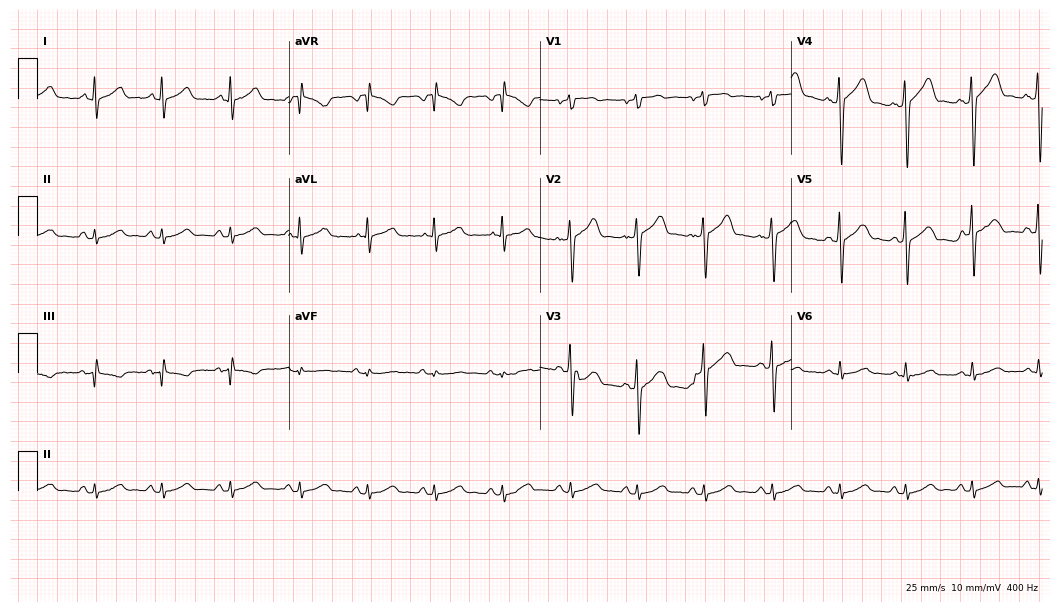
Resting 12-lead electrocardiogram (10.2-second recording at 400 Hz). Patient: a male, 43 years old. None of these six findings is recorded: first-degree AV block, right bundle branch block (RBBB), left bundle branch block (LBBB), sinus bradycardia, atrial fibrillation (AF), sinus tachycardia. Other findings, if any, are not listed.